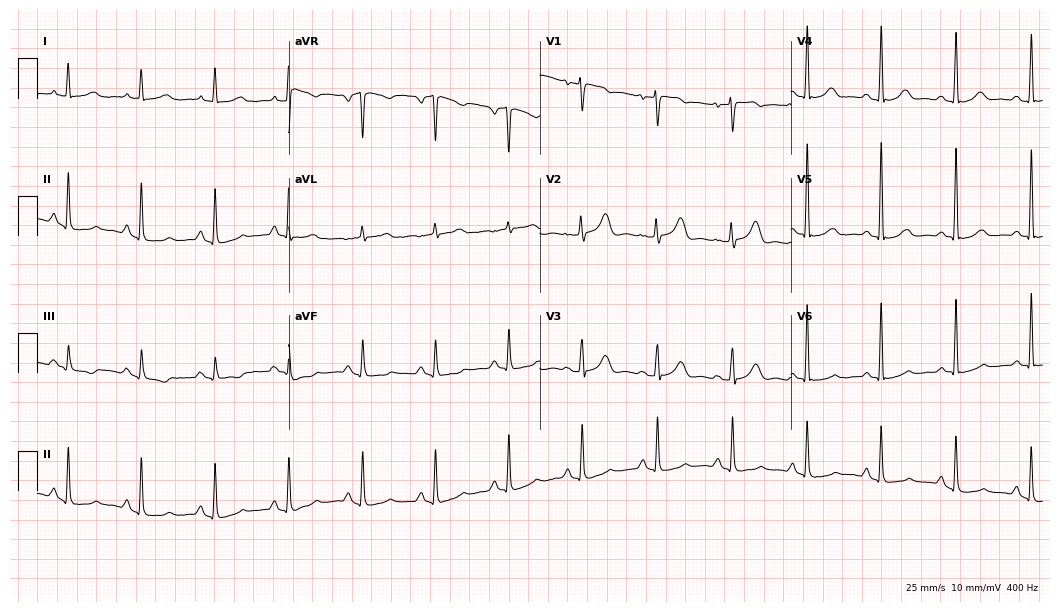
Standard 12-lead ECG recorded from a 76-year-old female patient. Read as a normal ECG.